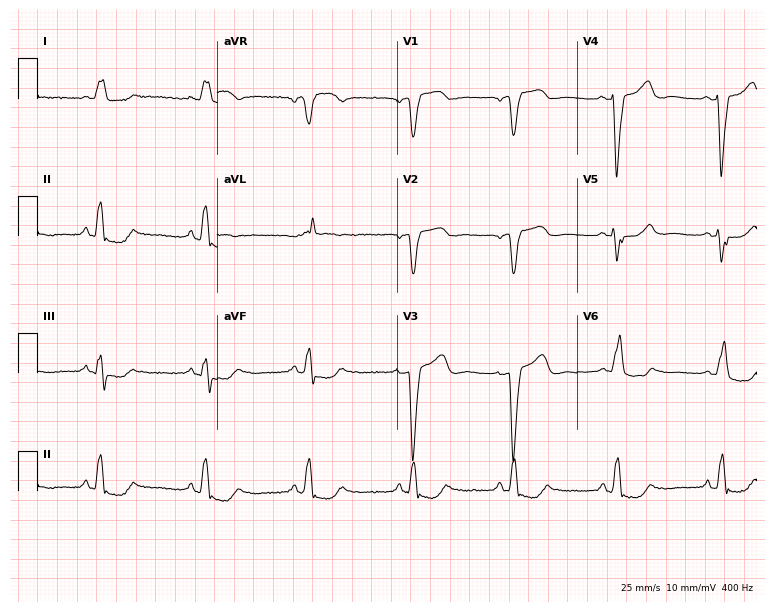
Standard 12-lead ECG recorded from a woman, 81 years old (7.3-second recording at 400 Hz). The tracing shows left bundle branch block.